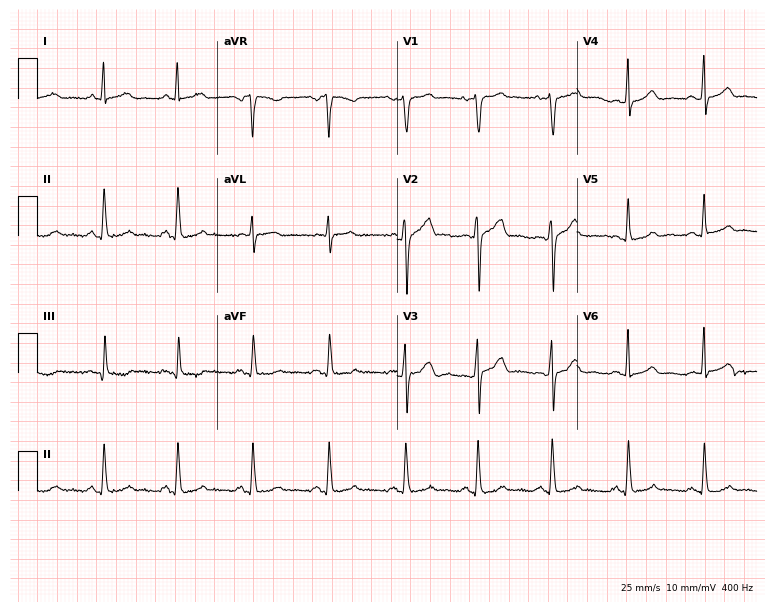
Electrocardiogram, a 37-year-old female. Overall reading on record: normal ECG.